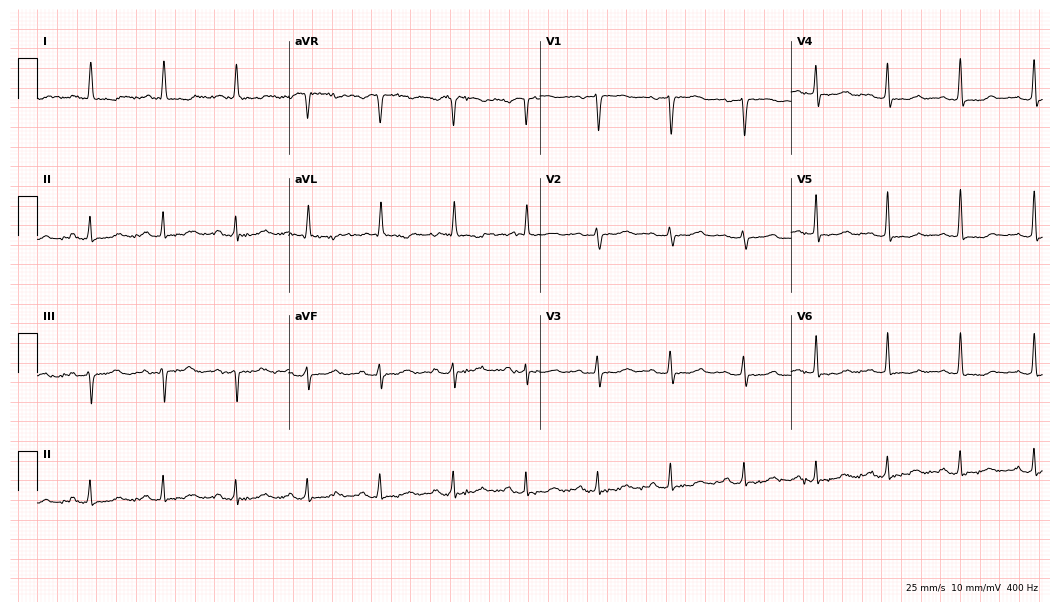
12-lead ECG from a woman, 75 years old. Screened for six findings — first-degree AV block, right bundle branch block (RBBB), left bundle branch block (LBBB), sinus bradycardia, atrial fibrillation (AF), sinus tachycardia — none is recorded. Findings outside these six are not listed.